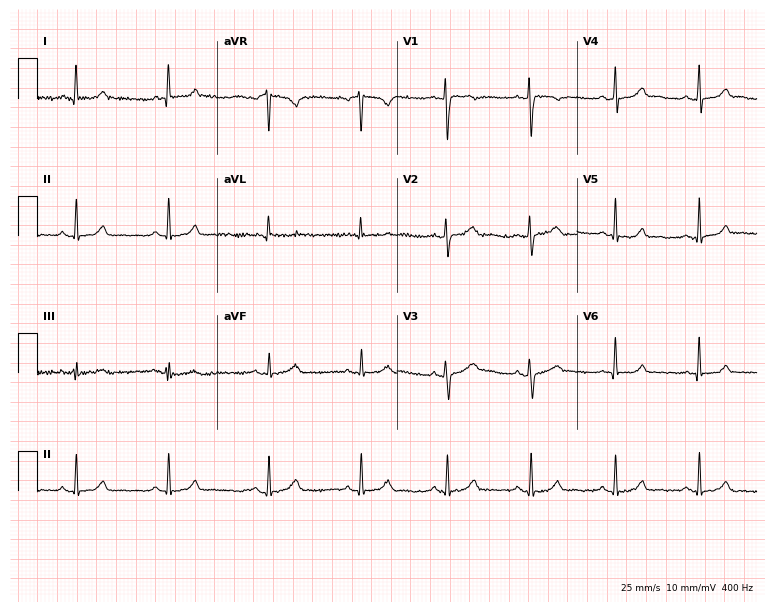
Electrocardiogram (7.3-second recording at 400 Hz), a woman, 24 years old. Overall reading on record: normal ECG.